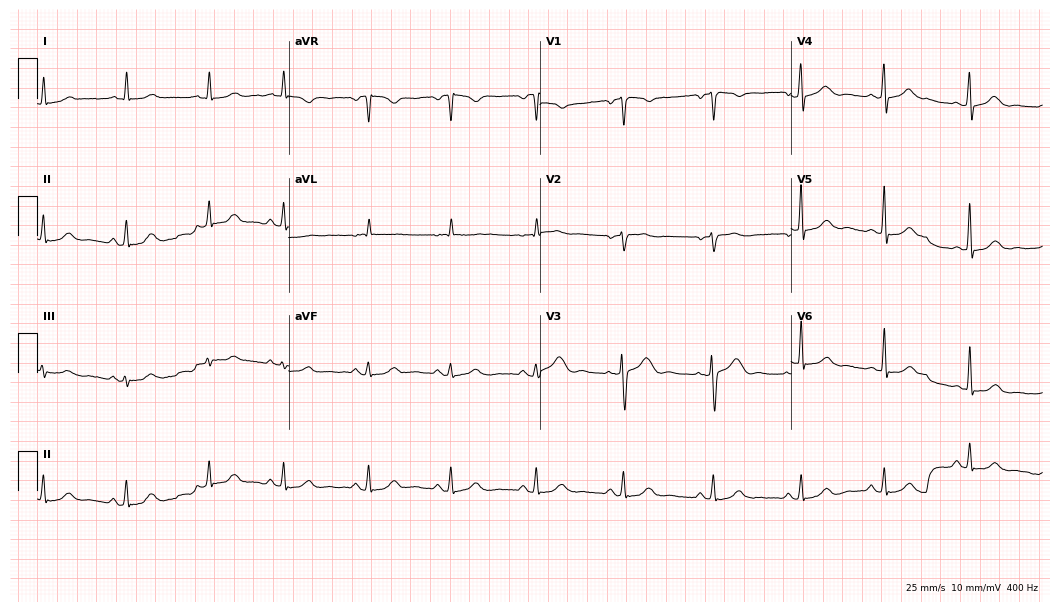
12-lead ECG (10.2-second recording at 400 Hz) from a female patient, 55 years old. Labelled as a normal ECG.